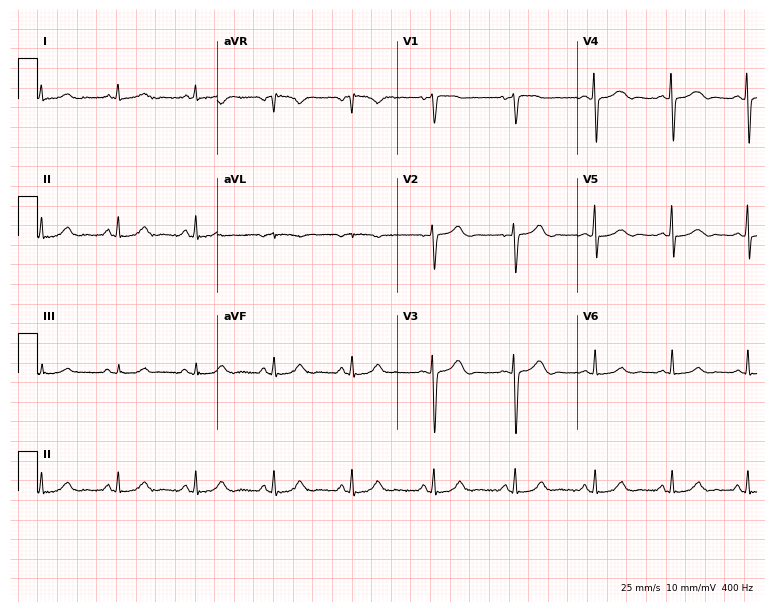
12-lead ECG (7.3-second recording at 400 Hz) from a 41-year-old woman. Screened for six findings — first-degree AV block, right bundle branch block, left bundle branch block, sinus bradycardia, atrial fibrillation, sinus tachycardia — none is recorded.